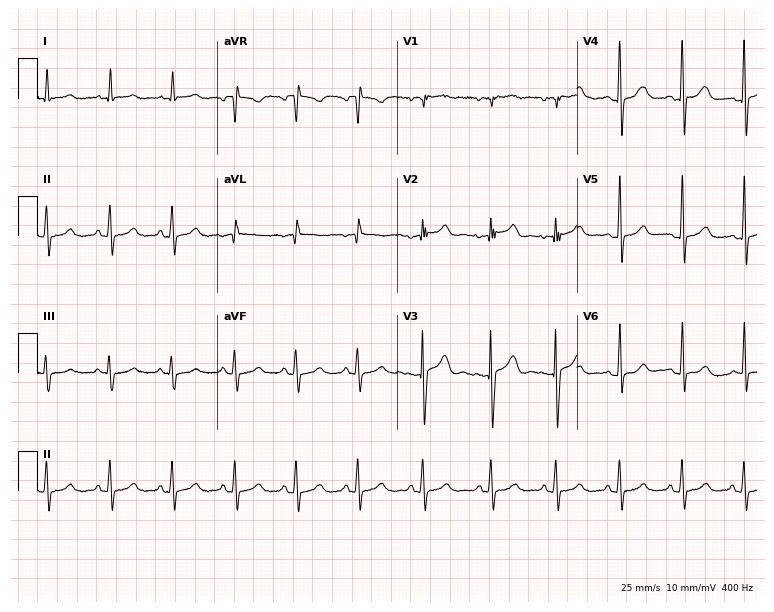
ECG (7.3-second recording at 400 Hz) — a female, 20 years old. Screened for six findings — first-degree AV block, right bundle branch block (RBBB), left bundle branch block (LBBB), sinus bradycardia, atrial fibrillation (AF), sinus tachycardia — none is recorded.